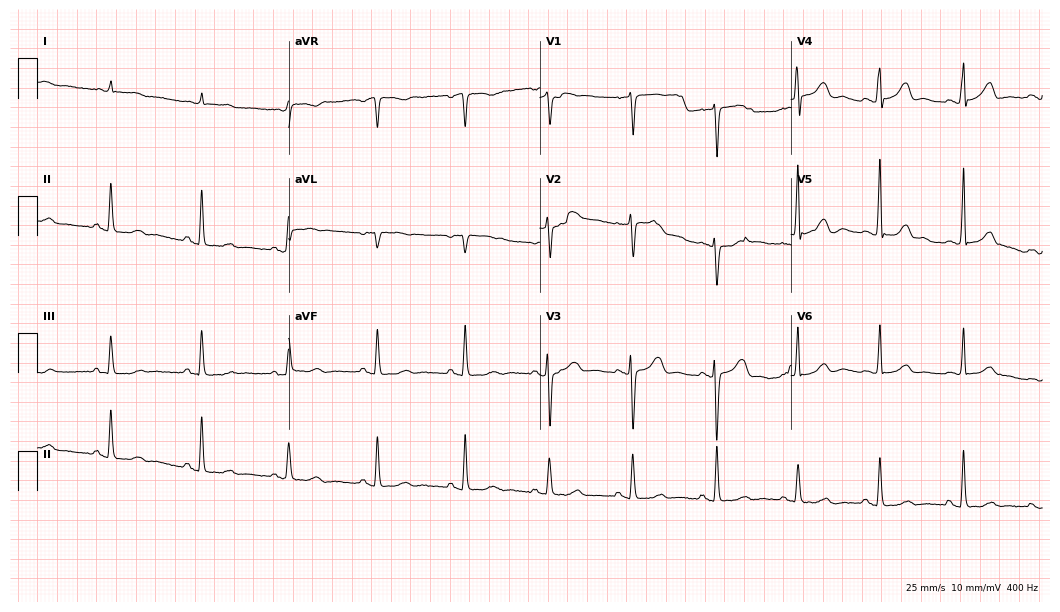
12-lead ECG from a woman, 68 years old. Screened for six findings — first-degree AV block, right bundle branch block (RBBB), left bundle branch block (LBBB), sinus bradycardia, atrial fibrillation (AF), sinus tachycardia — none is recorded.